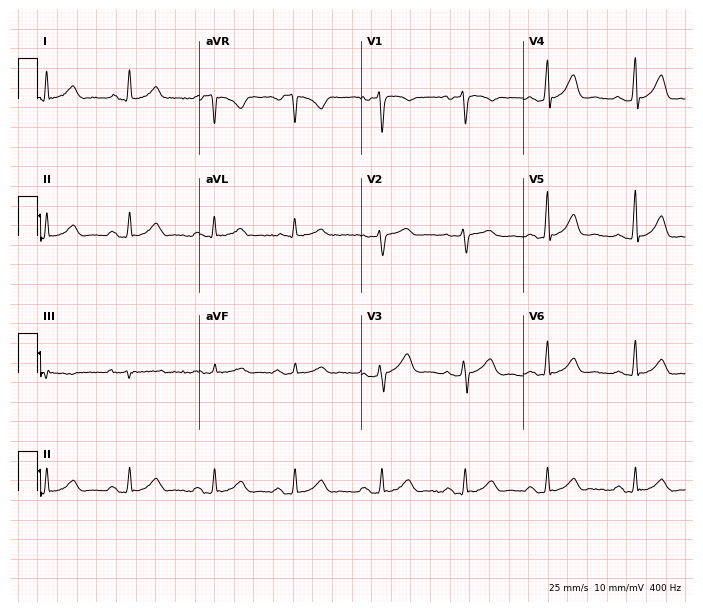
Electrocardiogram, a 44-year-old woman. Overall reading on record: normal ECG.